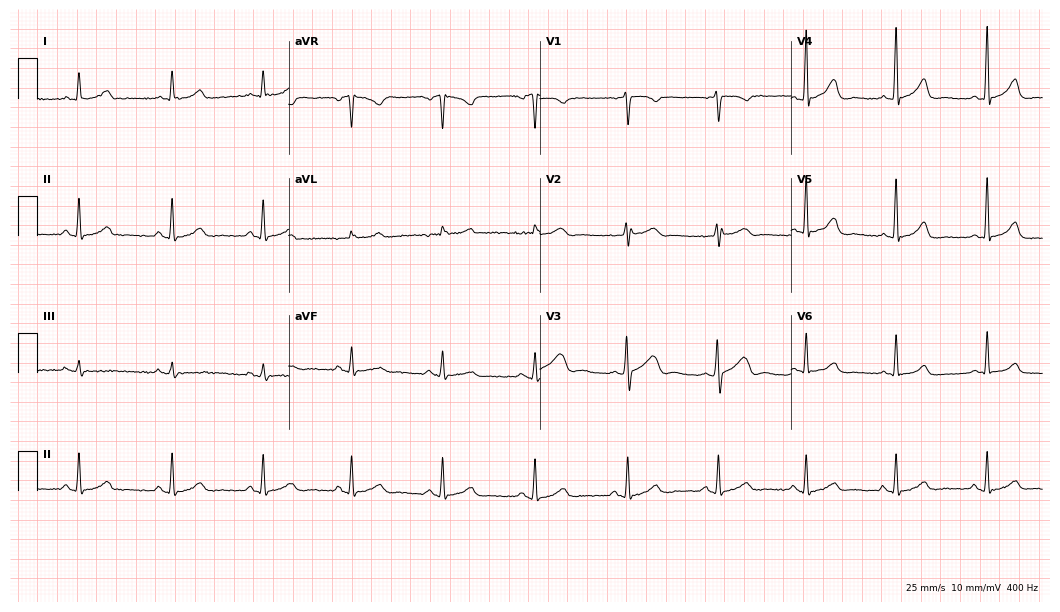
Resting 12-lead electrocardiogram (10.2-second recording at 400 Hz). Patient: a female, 39 years old. Read as a normal ECG.